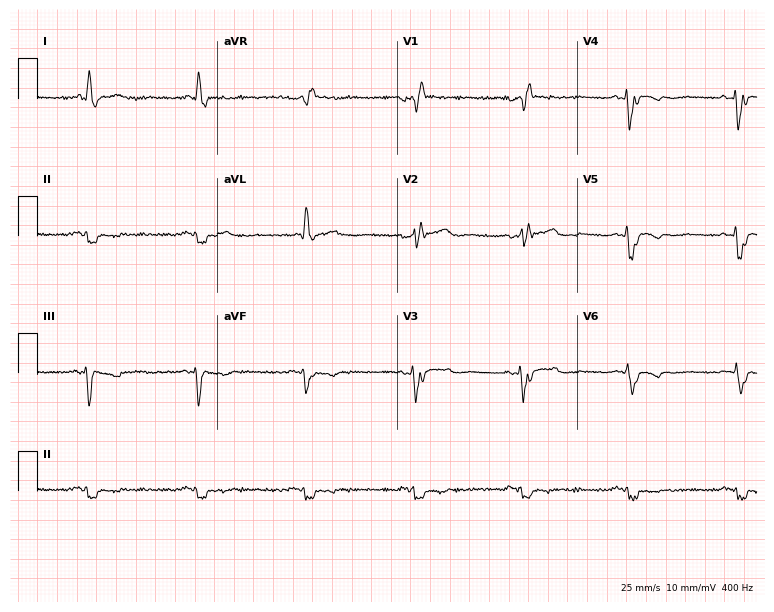
Resting 12-lead electrocardiogram. Patient: a male, 54 years old. The tracing shows right bundle branch block (RBBB).